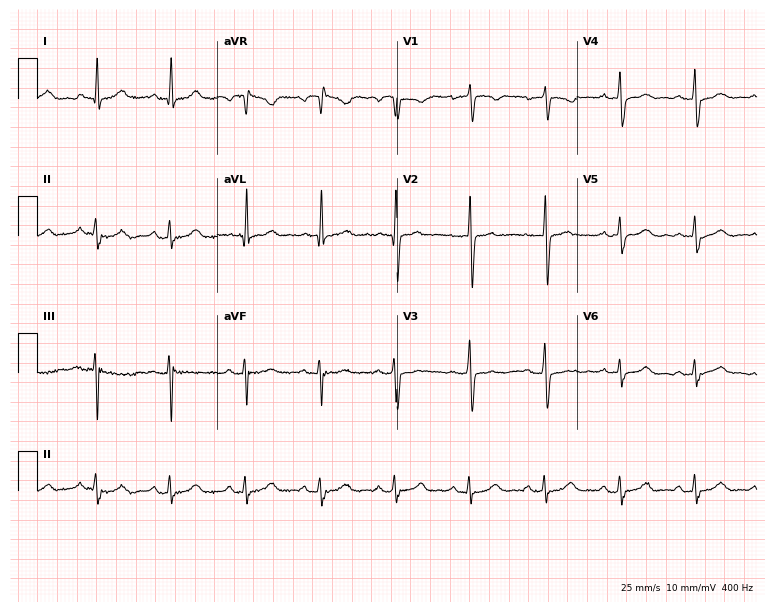
ECG — a 64-year-old female. Screened for six findings — first-degree AV block, right bundle branch block, left bundle branch block, sinus bradycardia, atrial fibrillation, sinus tachycardia — none is recorded. Only these six findings were labelled.